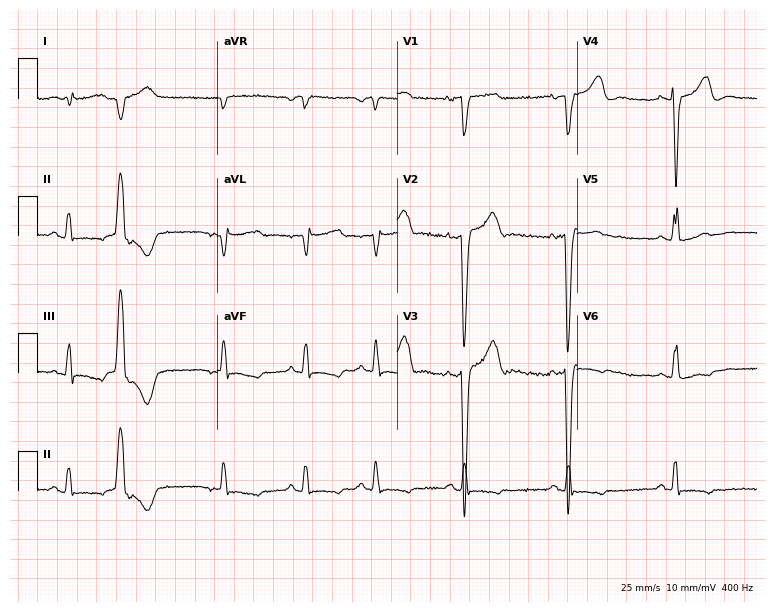
ECG (7.3-second recording at 400 Hz) — a 68-year-old man. Screened for six findings — first-degree AV block, right bundle branch block, left bundle branch block, sinus bradycardia, atrial fibrillation, sinus tachycardia — none is recorded.